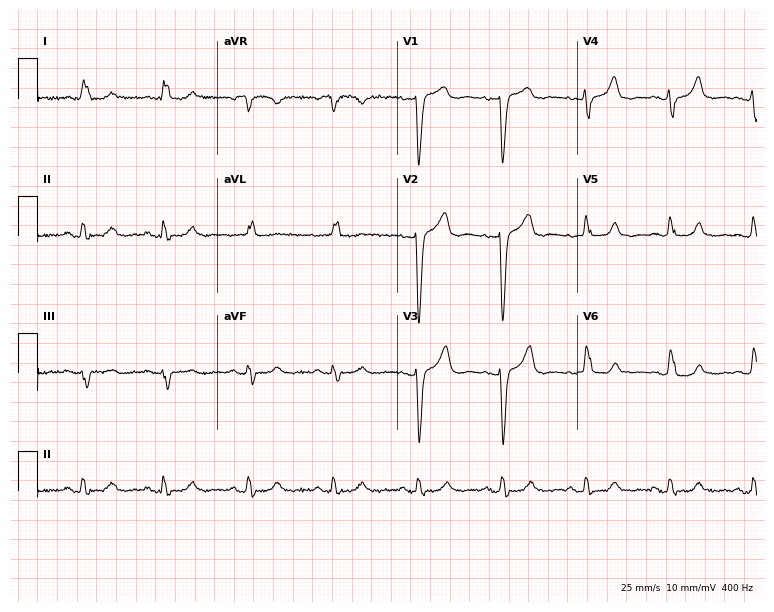
Standard 12-lead ECG recorded from a female patient, 81 years old (7.3-second recording at 400 Hz). None of these six findings is recorded: first-degree AV block, right bundle branch block, left bundle branch block, sinus bradycardia, atrial fibrillation, sinus tachycardia.